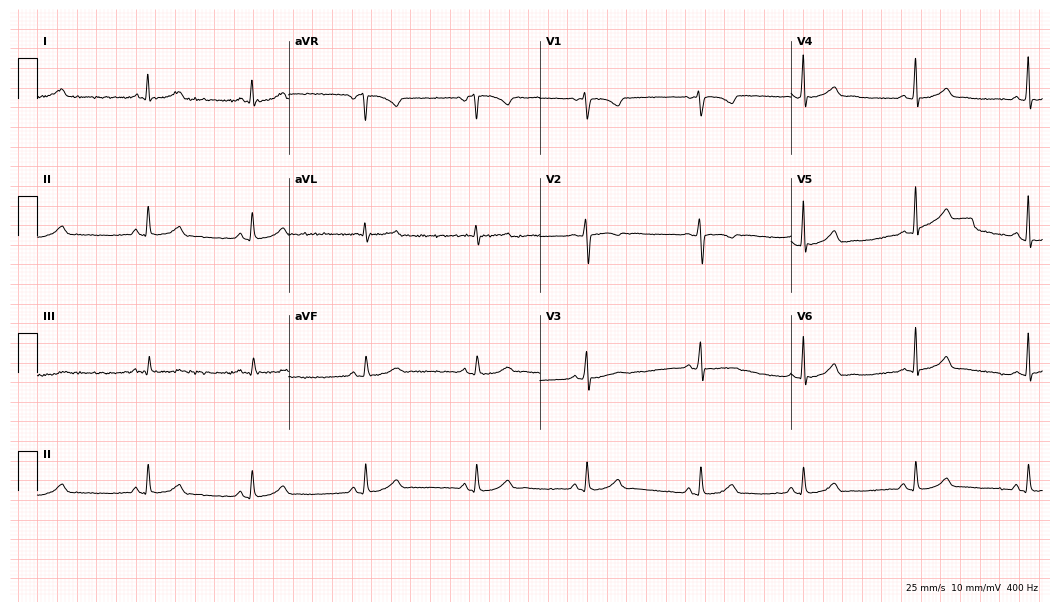
12-lead ECG from a female patient, 31 years old. Labelled as a normal ECG.